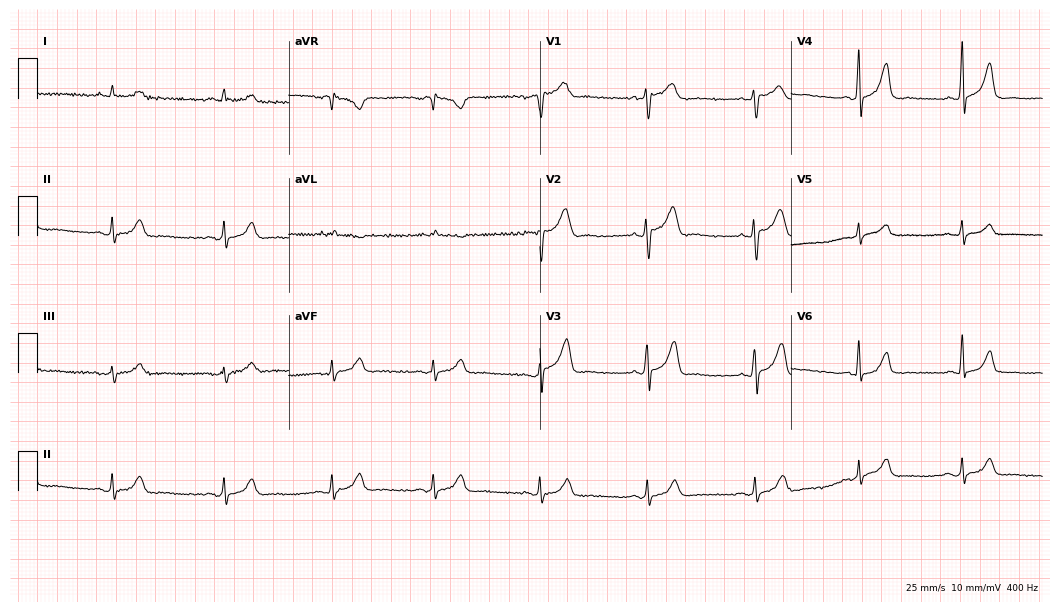
Electrocardiogram, a male, 39 years old. Overall reading on record: normal ECG.